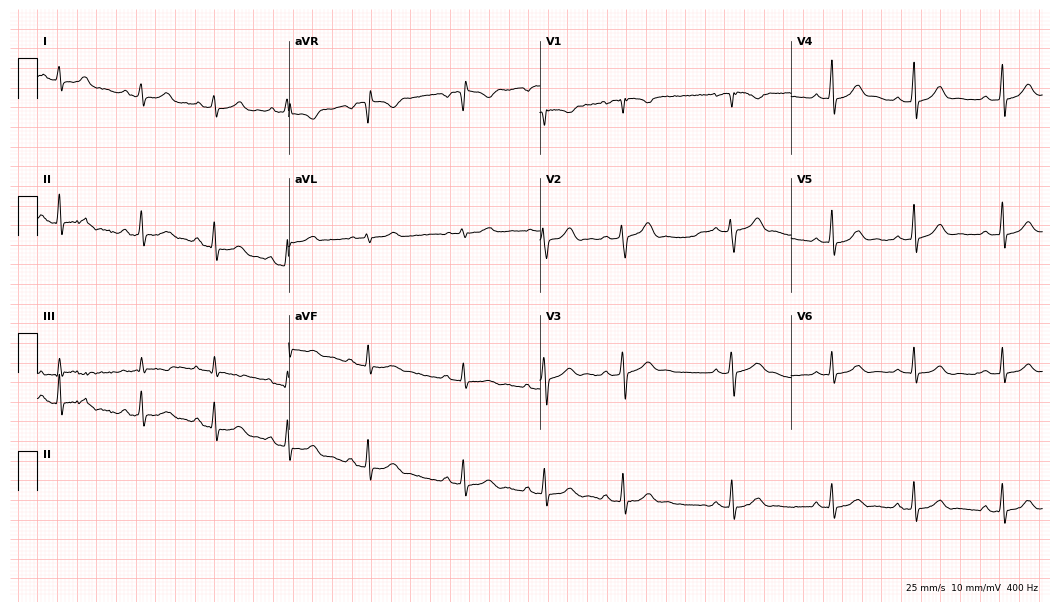
ECG (10.2-second recording at 400 Hz) — a 23-year-old female. Labelled as a normal ECG.